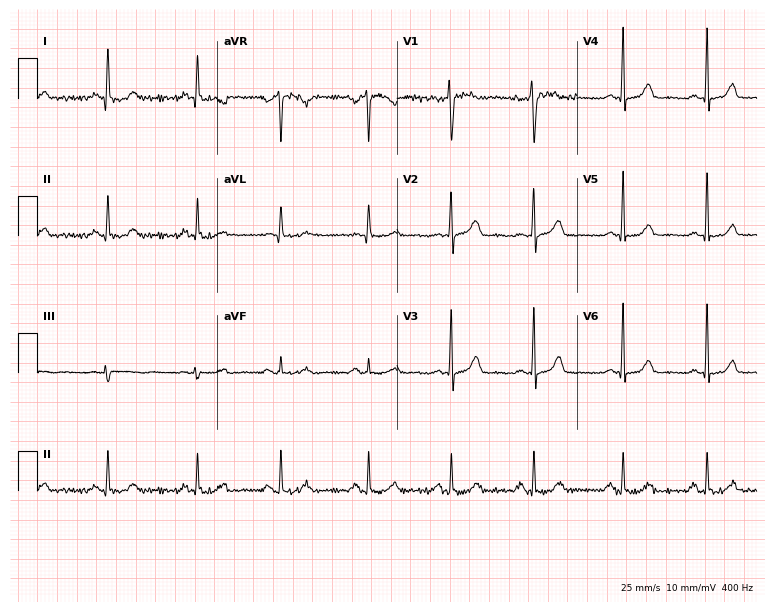
ECG (7.3-second recording at 400 Hz) — a female patient, 50 years old. Screened for six findings — first-degree AV block, right bundle branch block (RBBB), left bundle branch block (LBBB), sinus bradycardia, atrial fibrillation (AF), sinus tachycardia — none is recorded. Only these six findings were labelled.